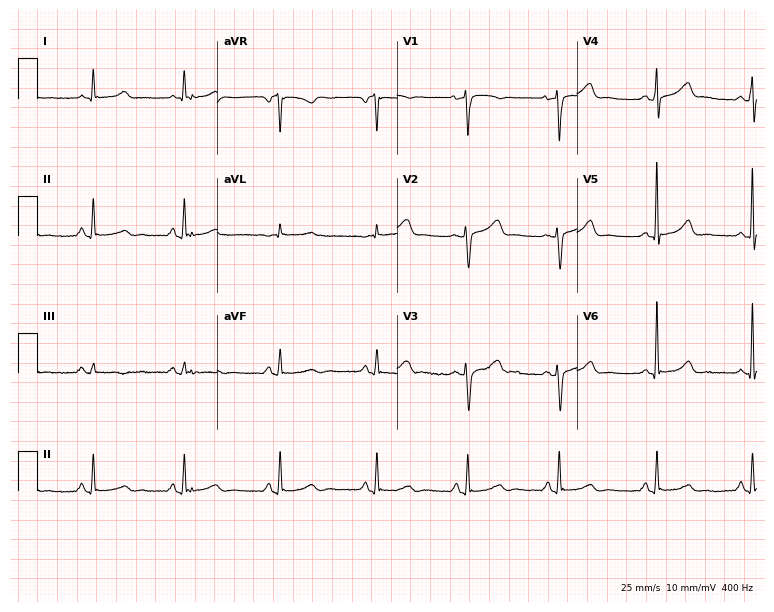
12-lead ECG (7.3-second recording at 400 Hz) from a female, 70 years old. Screened for six findings — first-degree AV block, right bundle branch block, left bundle branch block, sinus bradycardia, atrial fibrillation, sinus tachycardia — none is recorded.